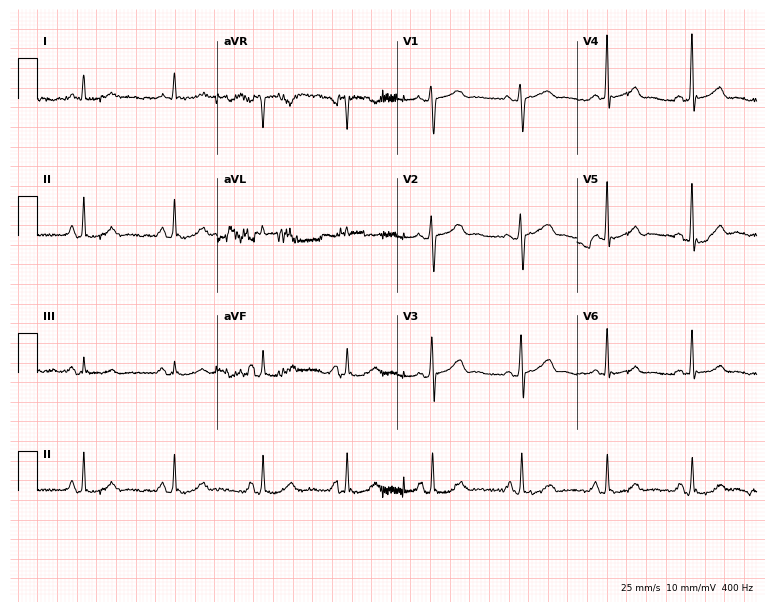
12-lead ECG from a 63-year-old man. No first-degree AV block, right bundle branch block (RBBB), left bundle branch block (LBBB), sinus bradycardia, atrial fibrillation (AF) or sinus tachycardia recorded for this tracing. Other findings, if any, are not listed.